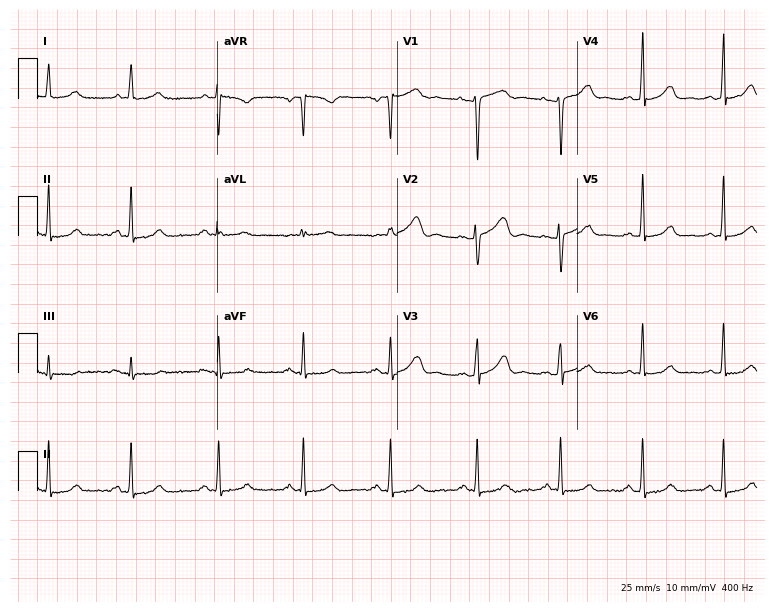
12-lead ECG (7.3-second recording at 400 Hz) from a female, 36 years old. Labelled as a normal ECG.